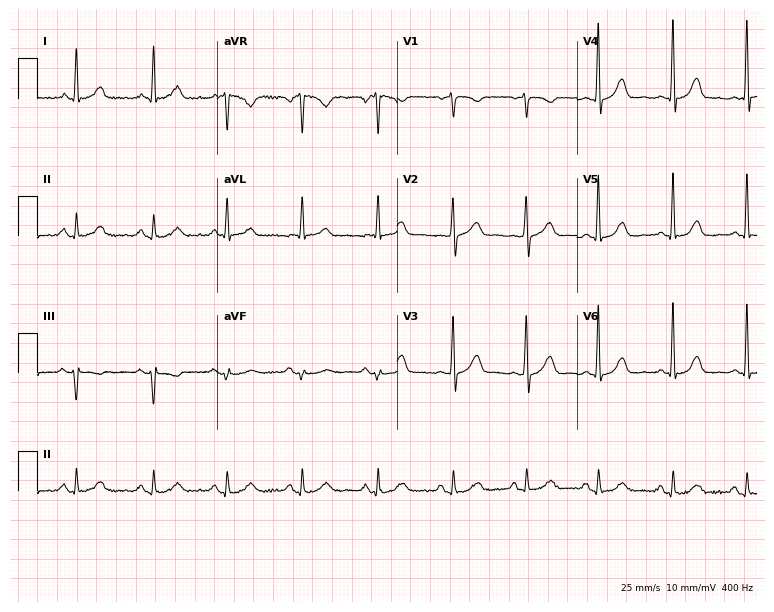
12-lead ECG from a 69-year-old woman. Recorded interpretation: within normal limits.